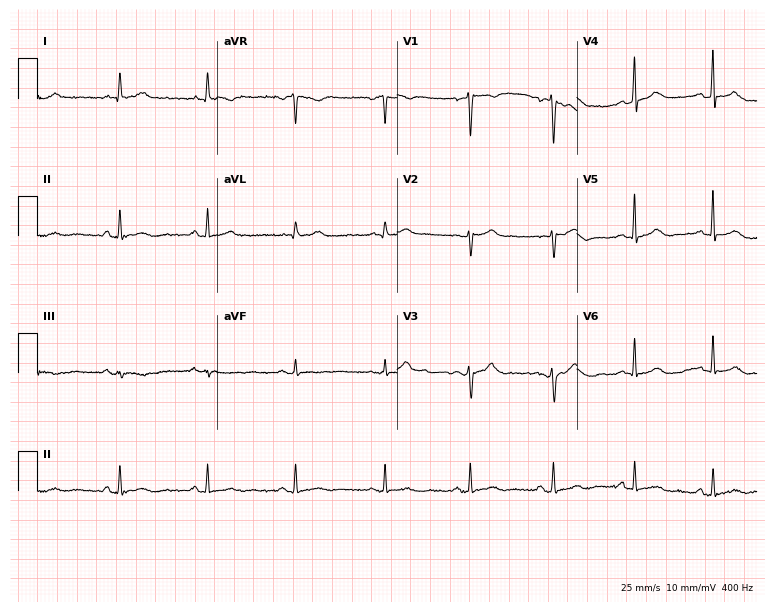
Electrocardiogram, a 43-year-old woman. Of the six screened findings (first-degree AV block, right bundle branch block (RBBB), left bundle branch block (LBBB), sinus bradycardia, atrial fibrillation (AF), sinus tachycardia), none is recorded.